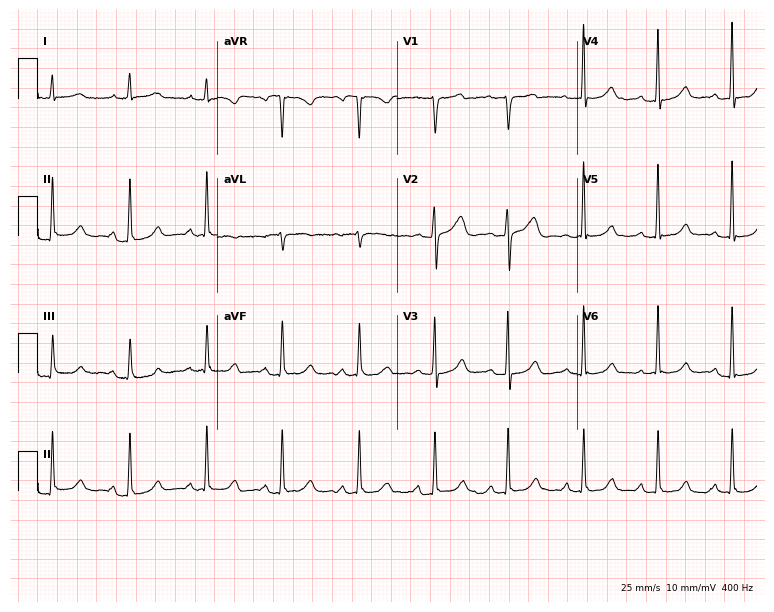
Standard 12-lead ECG recorded from a female, 54 years old. Read as a normal ECG.